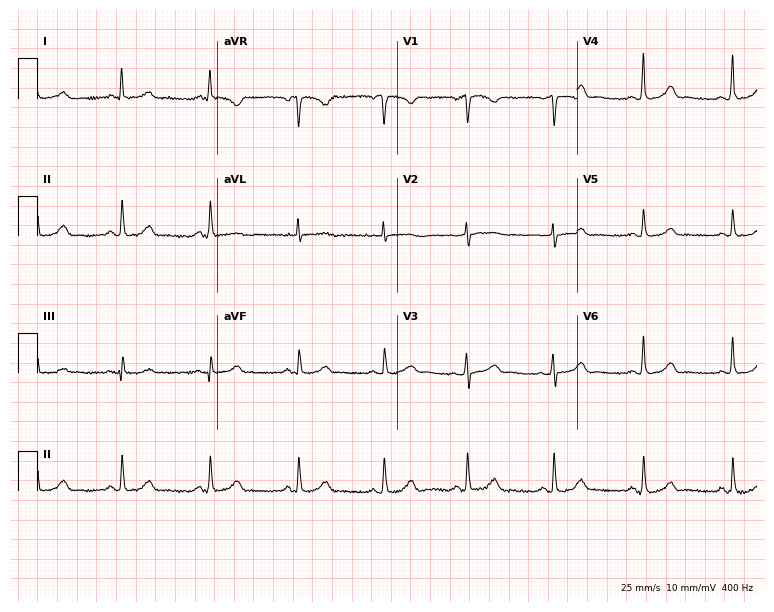
Electrocardiogram (7.3-second recording at 400 Hz), a male, 43 years old. Overall reading on record: normal ECG.